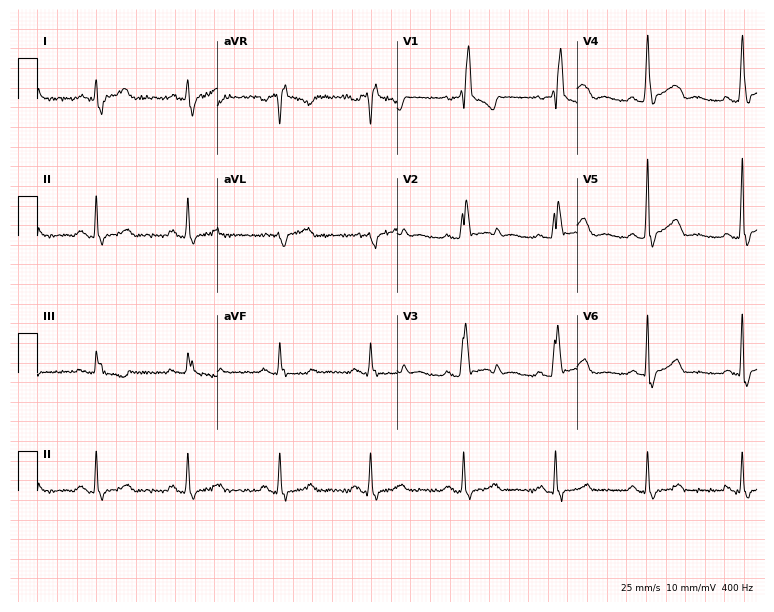
12-lead ECG from a 56-year-old male. Shows right bundle branch block.